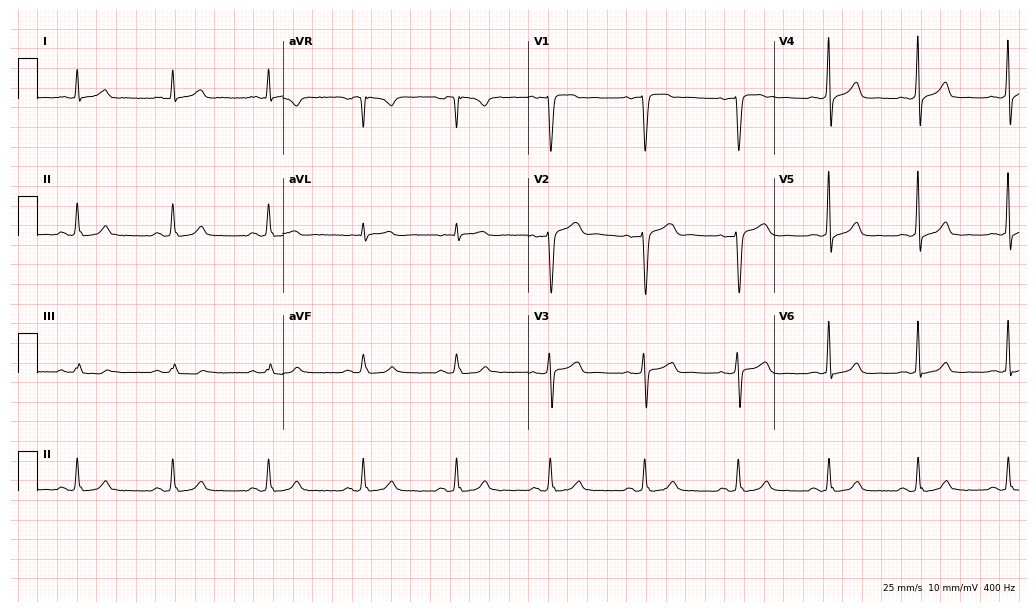
Resting 12-lead electrocardiogram. Patient: a 50-year-old male. None of these six findings is recorded: first-degree AV block, right bundle branch block, left bundle branch block, sinus bradycardia, atrial fibrillation, sinus tachycardia.